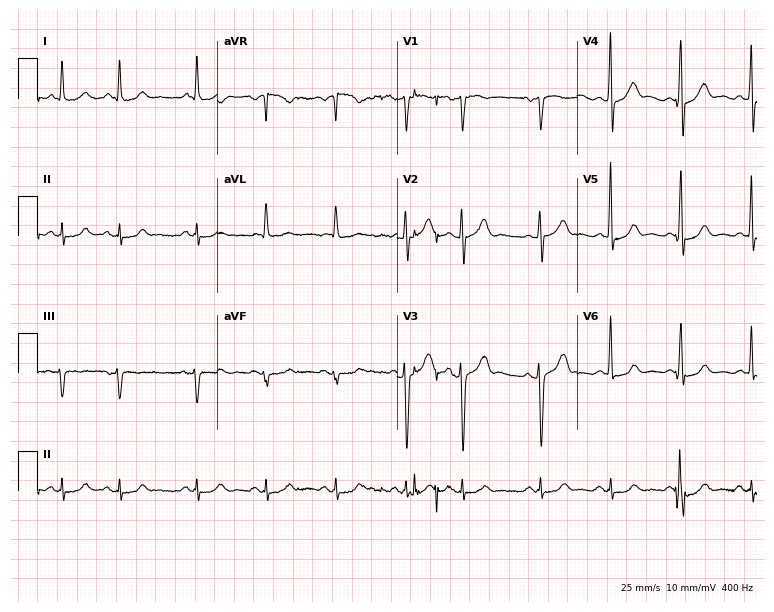
Resting 12-lead electrocardiogram (7.3-second recording at 400 Hz). Patient: a 64-year-old male. None of these six findings is recorded: first-degree AV block, right bundle branch block, left bundle branch block, sinus bradycardia, atrial fibrillation, sinus tachycardia. Only these six findings were labelled.